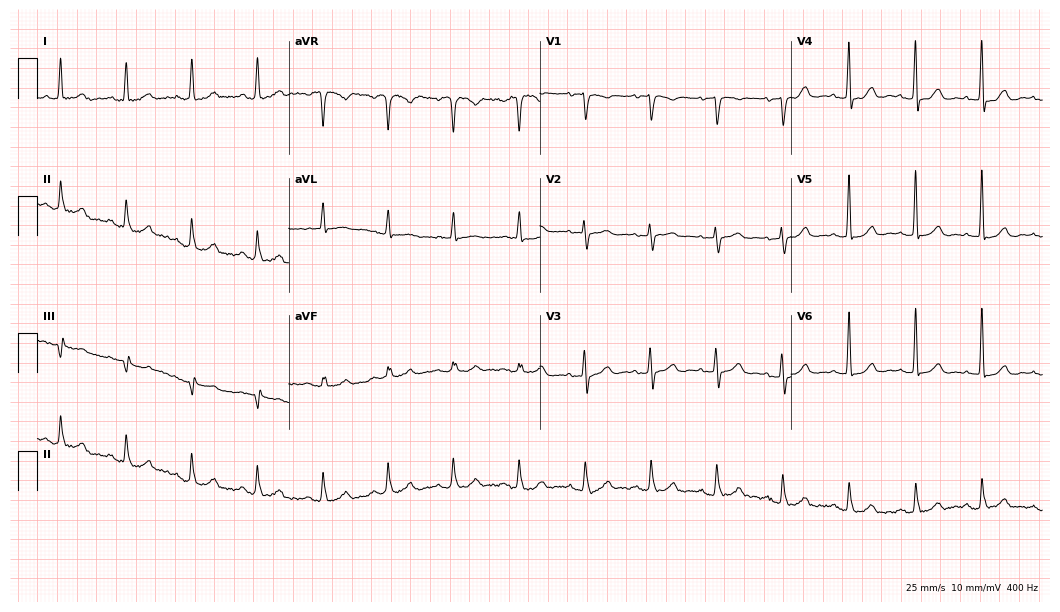
ECG (10.2-second recording at 400 Hz) — a 65-year-old female patient. Screened for six findings — first-degree AV block, right bundle branch block, left bundle branch block, sinus bradycardia, atrial fibrillation, sinus tachycardia — none is recorded.